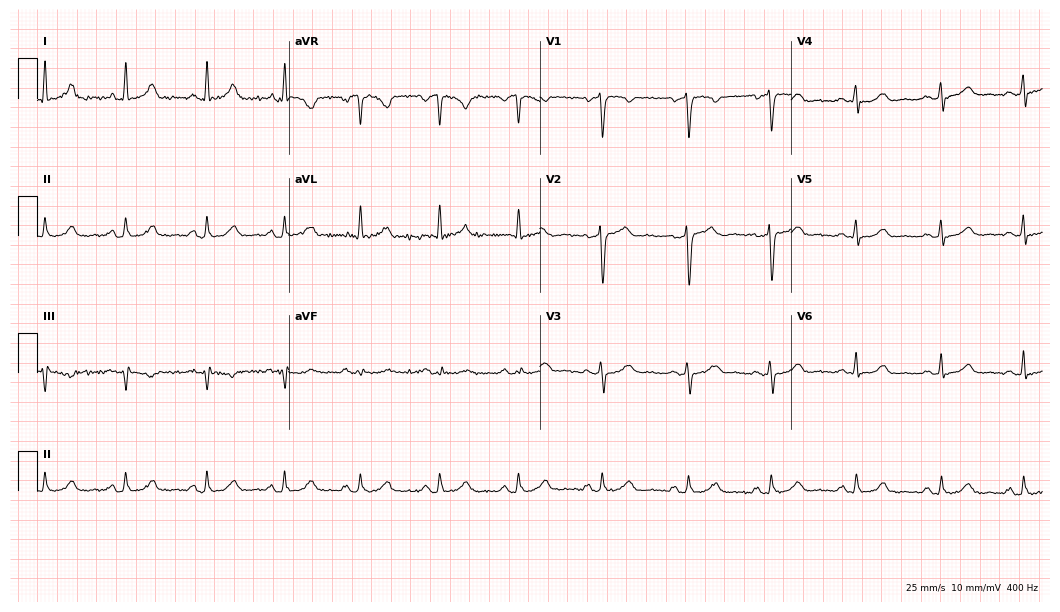
12-lead ECG from a 46-year-old female patient. Recorded interpretation: within normal limits.